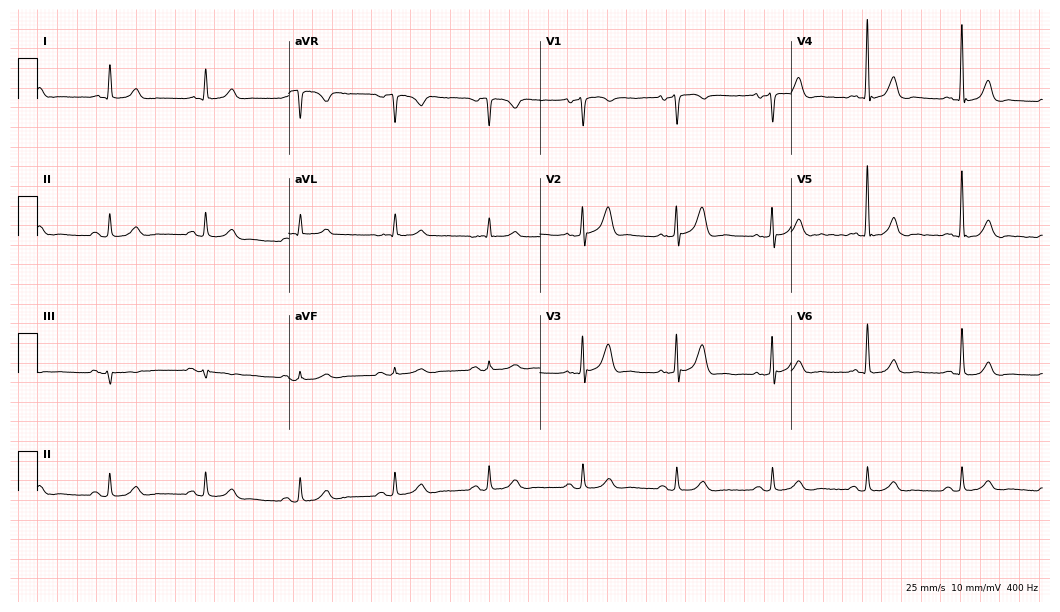
12-lead ECG from a male patient, 77 years old (10.2-second recording at 400 Hz). Recorded interpretation: within normal limits.